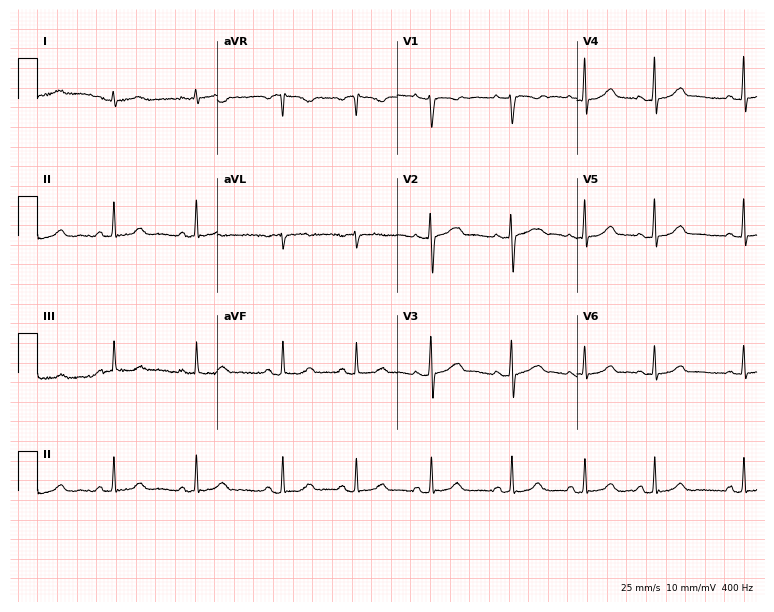
Standard 12-lead ECG recorded from a 20-year-old female (7.3-second recording at 400 Hz). None of these six findings is recorded: first-degree AV block, right bundle branch block (RBBB), left bundle branch block (LBBB), sinus bradycardia, atrial fibrillation (AF), sinus tachycardia.